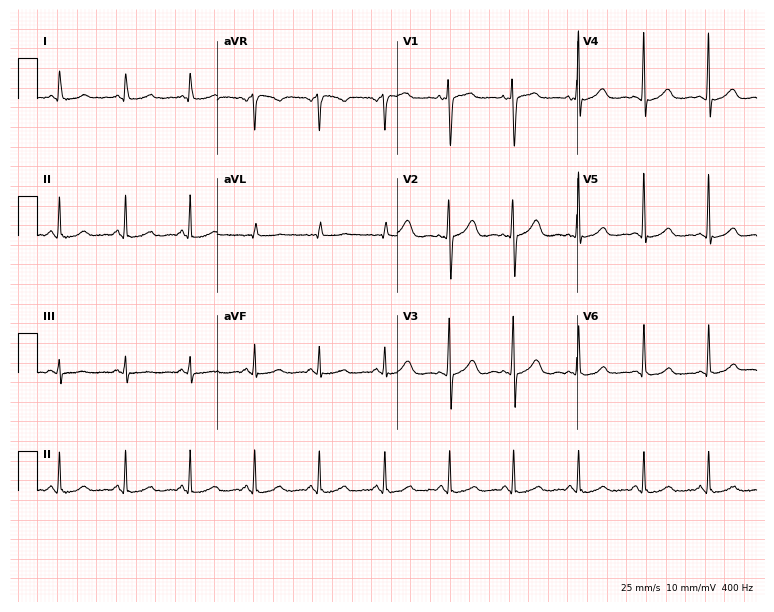
Resting 12-lead electrocardiogram (7.3-second recording at 400 Hz). Patient: a 45-year-old female. None of these six findings is recorded: first-degree AV block, right bundle branch block, left bundle branch block, sinus bradycardia, atrial fibrillation, sinus tachycardia. Only these six findings were labelled.